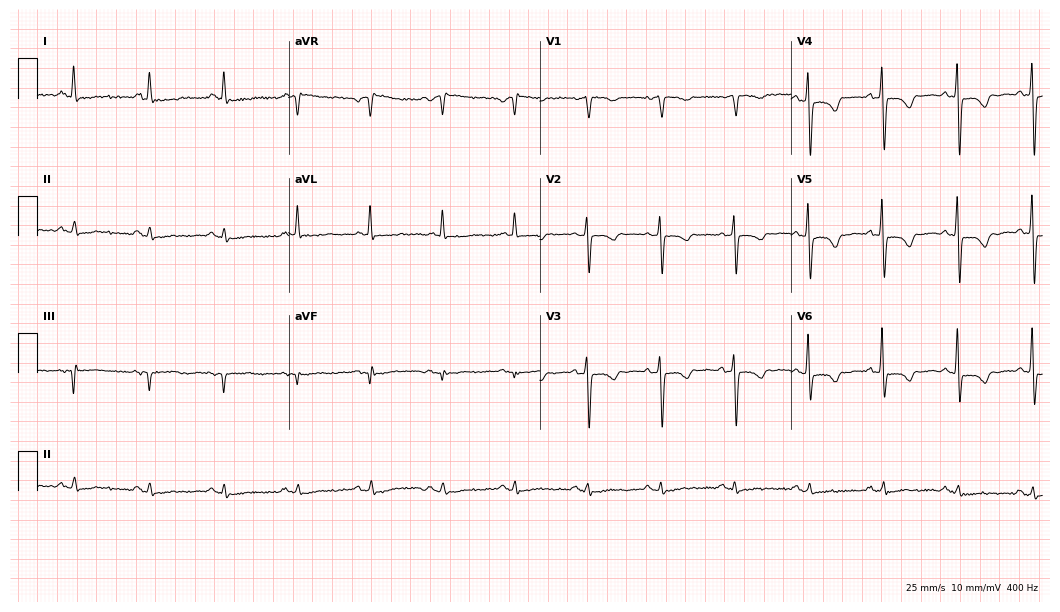
12-lead ECG (10.2-second recording at 400 Hz) from a female, 74 years old. Screened for six findings — first-degree AV block, right bundle branch block, left bundle branch block, sinus bradycardia, atrial fibrillation, sinus tachycardia — none is recorded. Other findings, if any, are not listed.